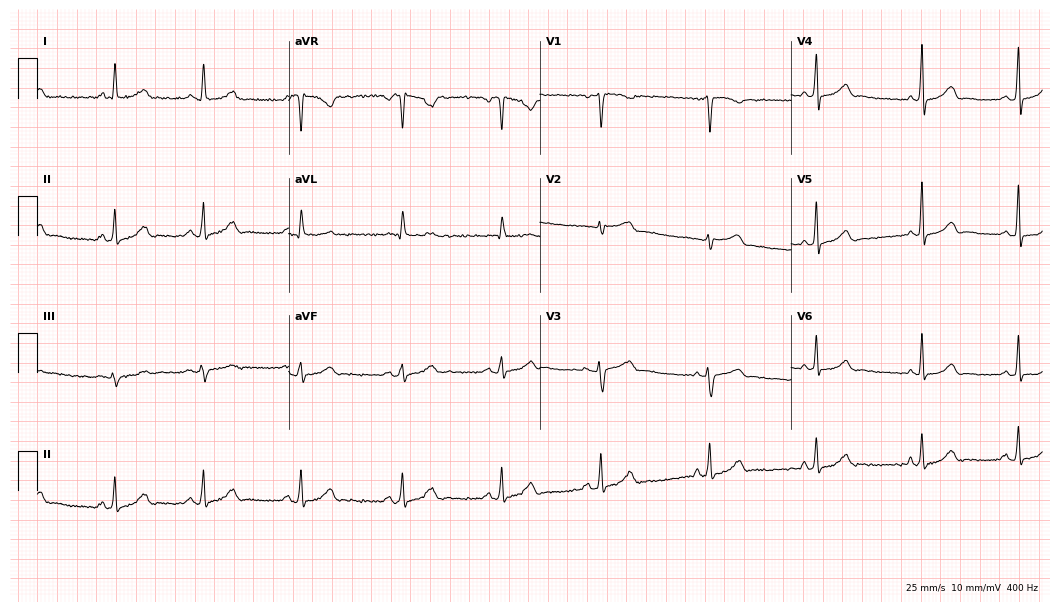
12-lead ECG from a female, 27 years old. Labelled as a normal ECG.